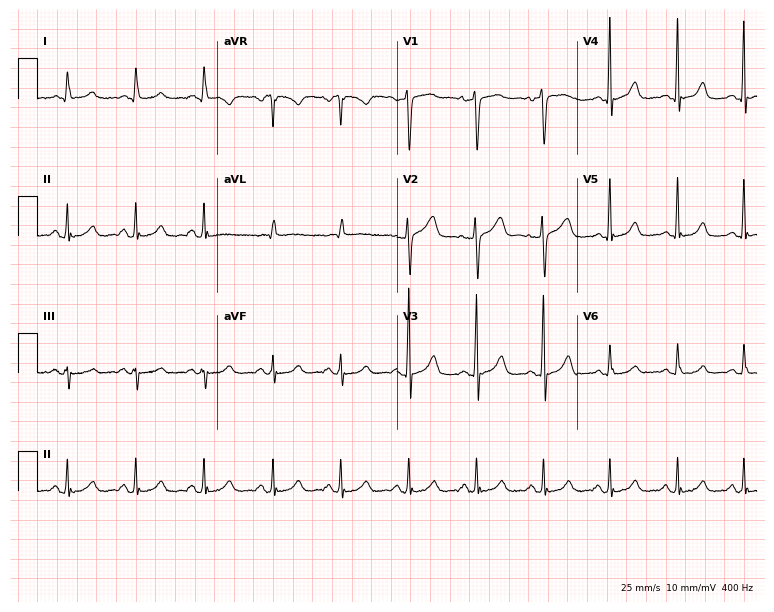
Resting 12-lead electrocardiogram (7.3-second recording at 400 Hz). Patient: a female, 51 years old. None of these six findings is recorded: first-degree AV block, right bundle branch block, left bundle branch block, sinus bradycardia, atrial fibrillation, sinus tachycardia. Other findings, if any, are not listed.